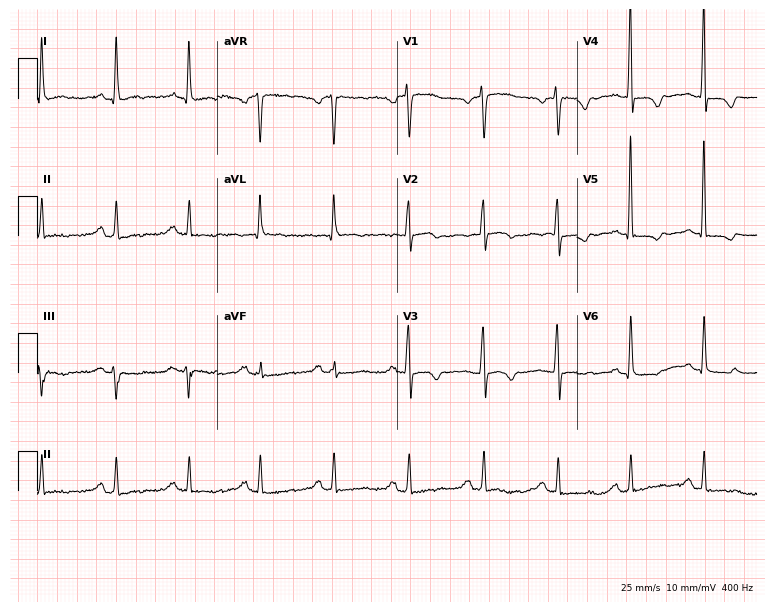
Resting 12-lead electrocardiogram. Patient: a female, 76 years old. None of these six findings is recorded: first-degree AV block, right bundle branch block, left bundle branch block, sinus bradycardia, atrial fibrillation, sinus tachycardia. Other findings, if any, are not listed.